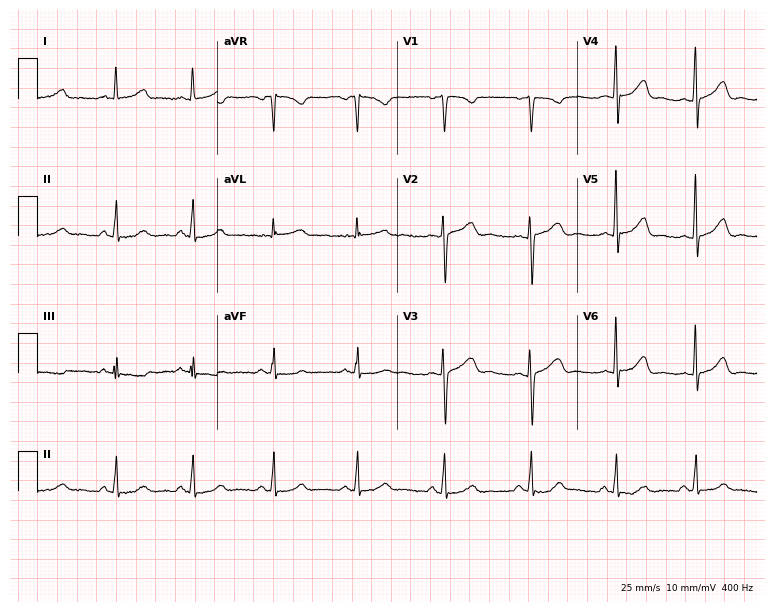
Standard 12-lead ECG recorded from a 24-year-old female. None of these six findings is recorded: first-degree AV block, right bundle branch block (RBBB), left bundle branch block (LBBB), sinus bradycardia, atrial fibrillation (AF), sinus tachycardia. Findings outside these six are not listed.